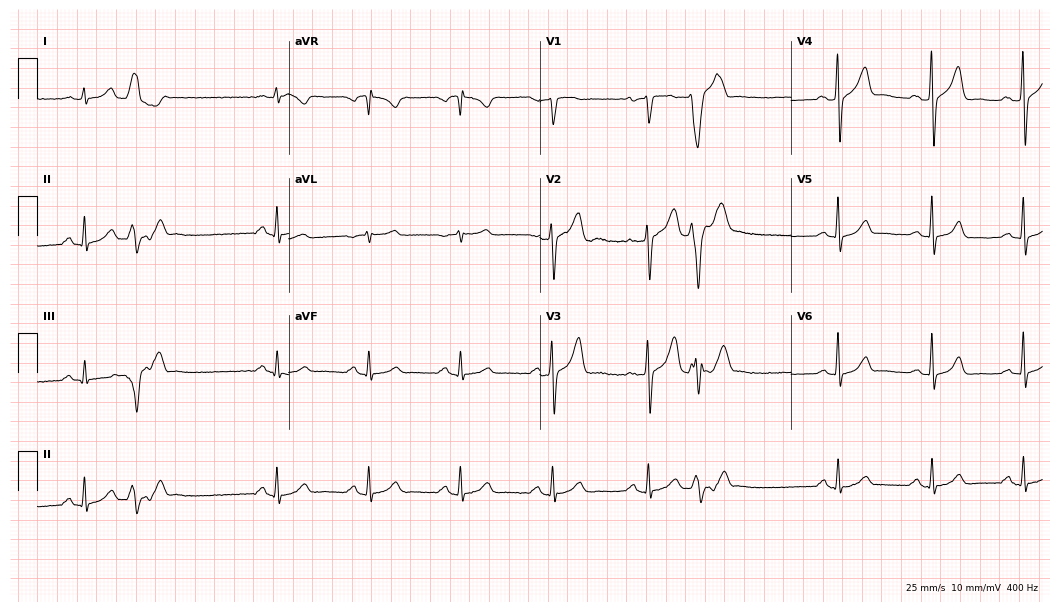
Resting 12-lead electrocardiogram. Patient: a 60-year-old male. None of these six findings is recorded: first-degree AV block, right bundle branch block, left bundle branch block, sinus bradycardia, atrial fibrillation, sinus tachycardia.